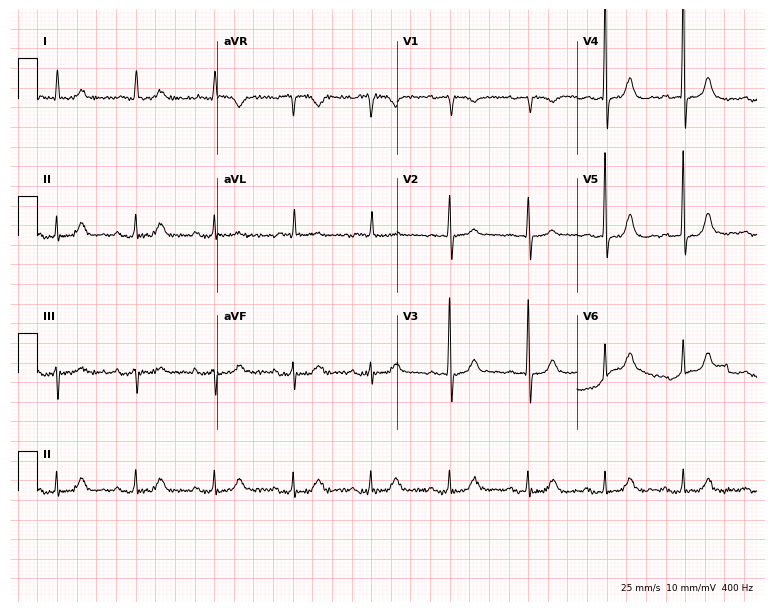
Standard 12-lead ECG recorded from a female patient, 83 years old. Read as a normal ECG.